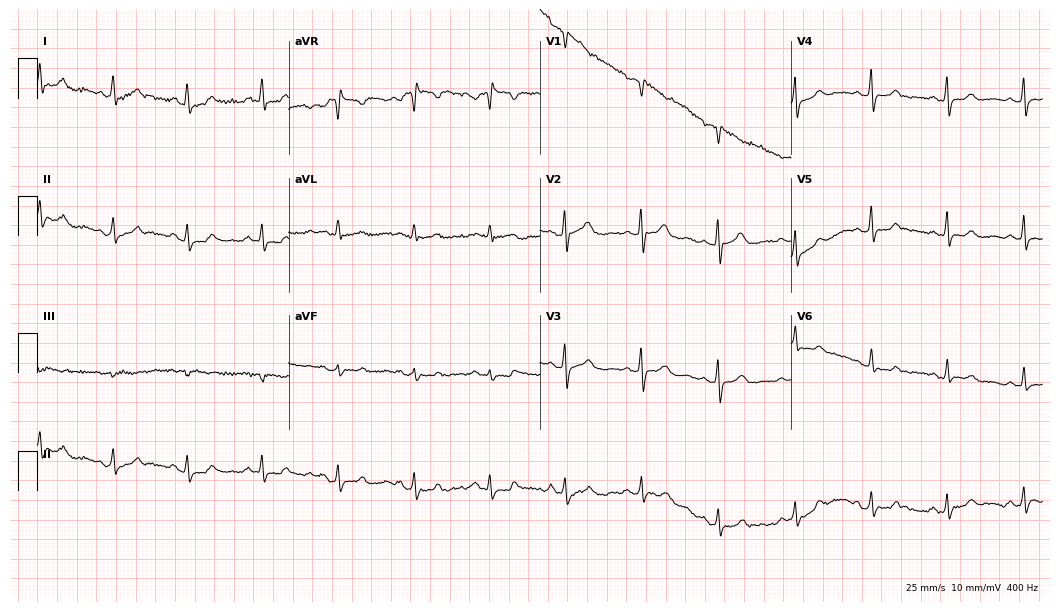
12-lead ECG (10.2-second recording at 400 Hz) from a 57-year-old female. Screened for six findings — first-degree AV block, right bundle branch block, left bundle branch block, sinus bradycardia, atrial fibrillation, sinus tachycardia — none is recorded.